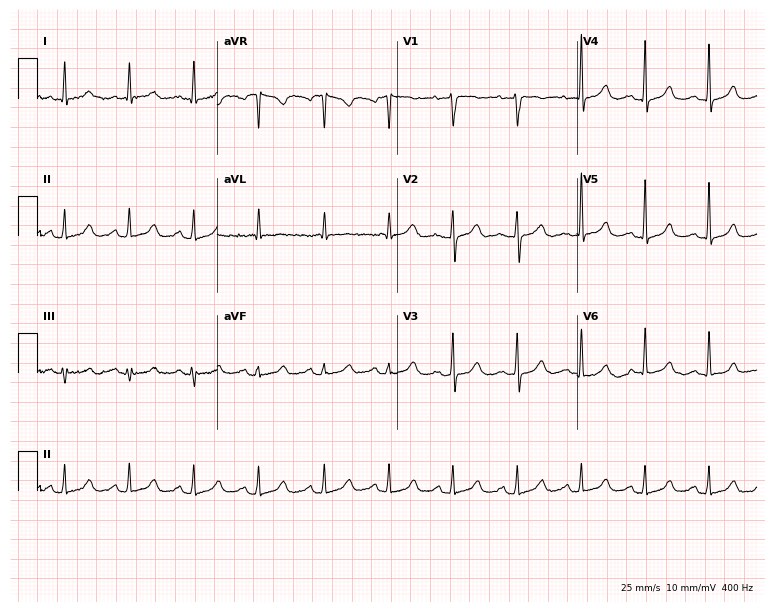
Electrocardiogram, a female, 61 years old. Overall reading on record: normal ECG.